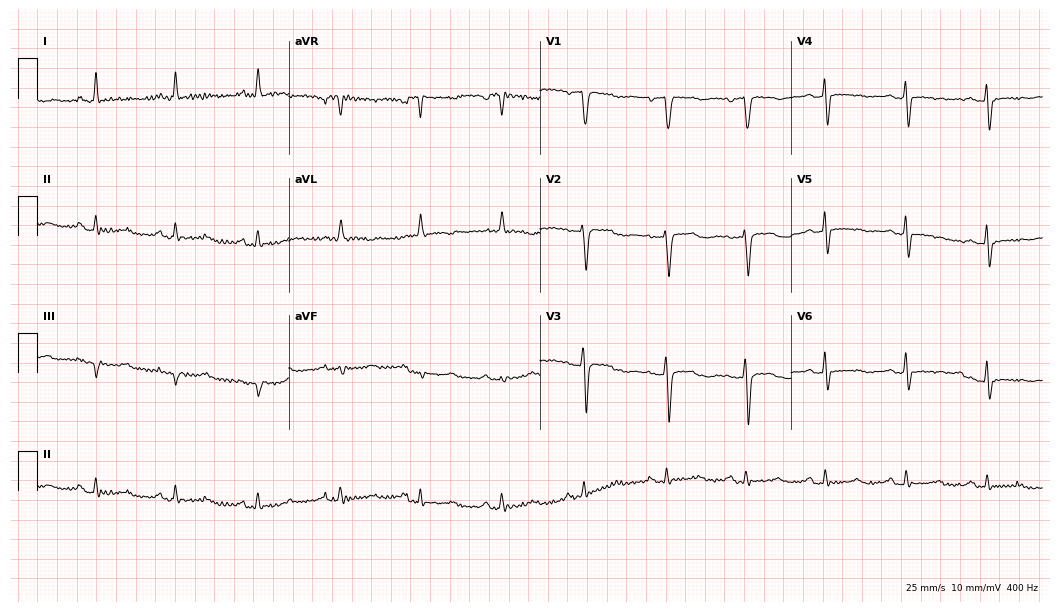
Standard 12-lead ECG recorded from a female patient, 68 years old. Read as a normal ECG.